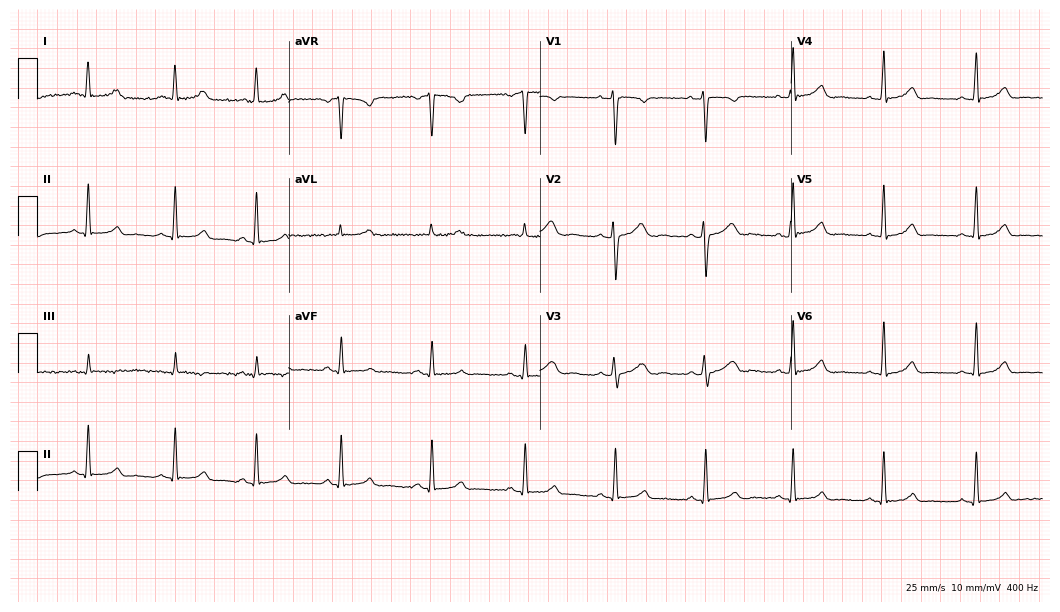
Electrocardiogram, a woman, 34 years old. Of the six screened findings (first-degree AV block, right bundle branch block, left bundle branch block, sinus bradycardia, atrial fibrillation, sinus tachycardia), none is recorded.